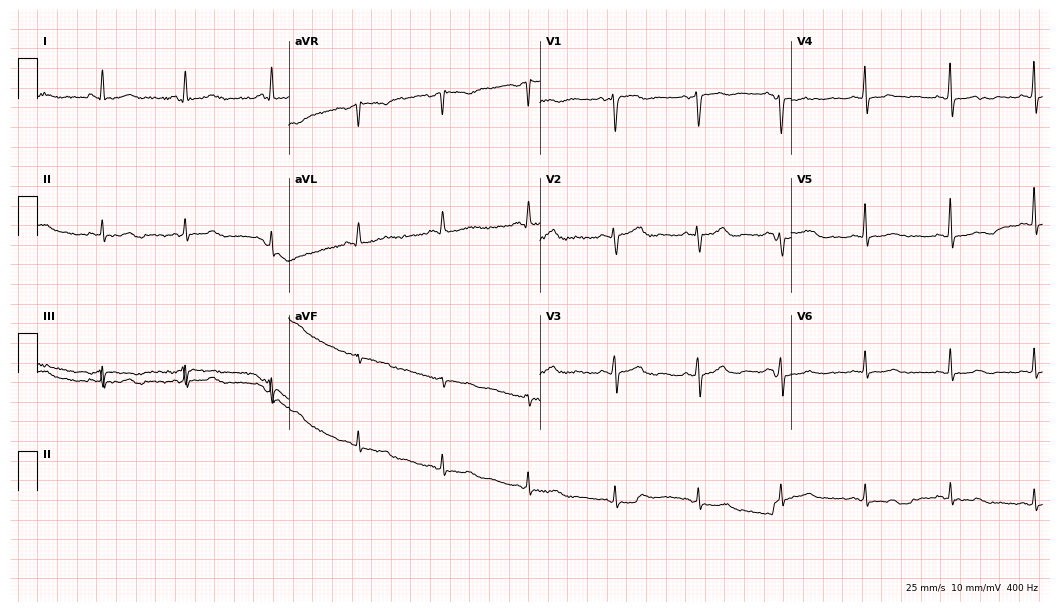
Electrocardiogram (10.2-second recording at 400 Hz), a female patient, 44 years old. Of the six screened findings (first-degree AV block, right bundle branch block, left bundle branch block, sinus bradycardia, atrial fibrillation, sinus tachycardia), none is recorded.